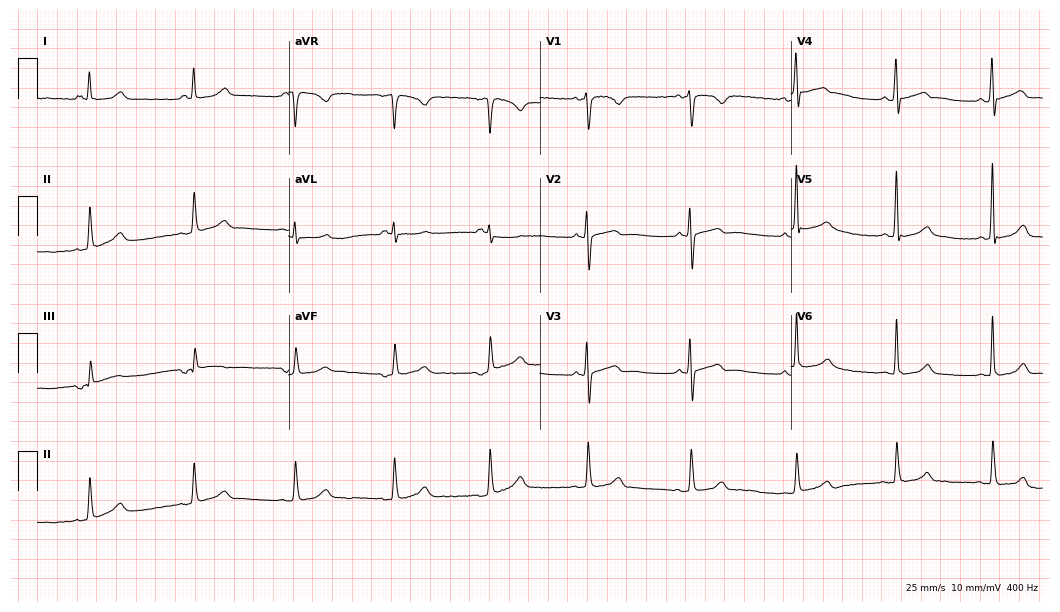
12-lead ECG from a woman, 43 years old. Recorded interpretation: within normal limits.